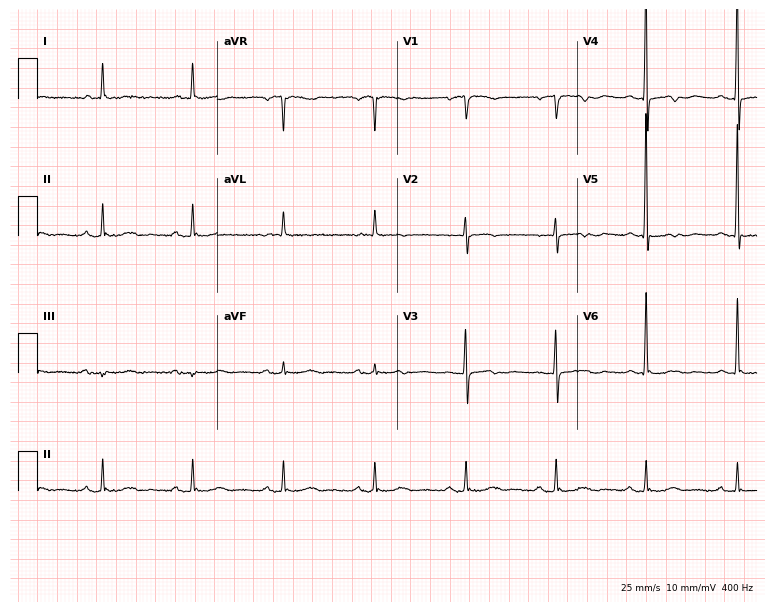
Electrocardiogram (7.3-second recording at 400 Hz), an 83-year-old female patient. Of the six screened findings (first-degree AV block, right bundle branch block, left bundle branch block, sinus bradycardia, atrial fibrillation, sinus tachycardia), none is recorded. Findings outside these six are not listed.